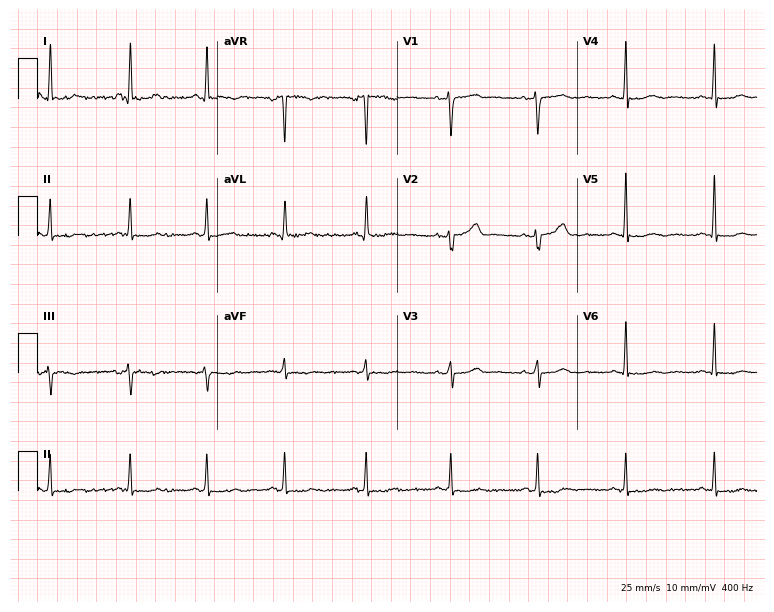
Electrocardiogram, a 53-year-old woman. Of the six screened findings (first-degree AV block, right bundle branch block, left bundle branch block, sinus bradycardia, atrial fibrillation, sinus tachycardia), none is recorded.